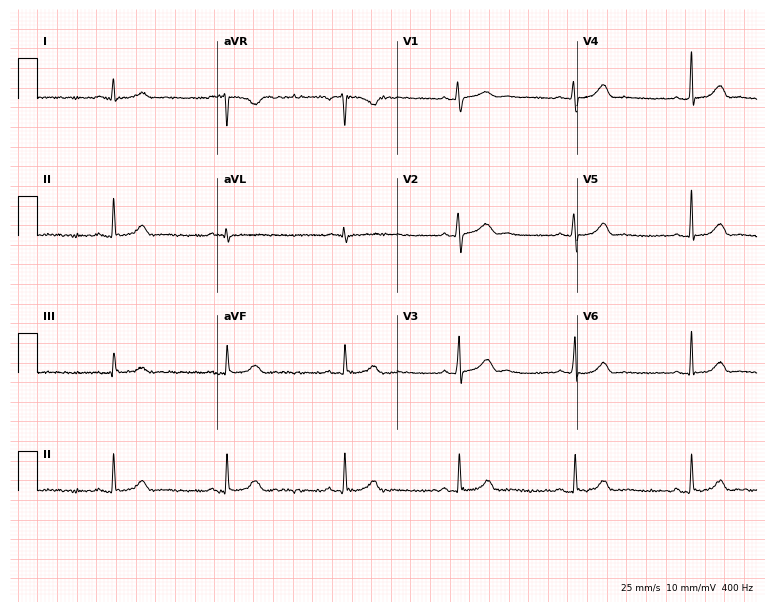
Electrocardiogram, a female, 33 years old. Overall reading on record: normal ECG.